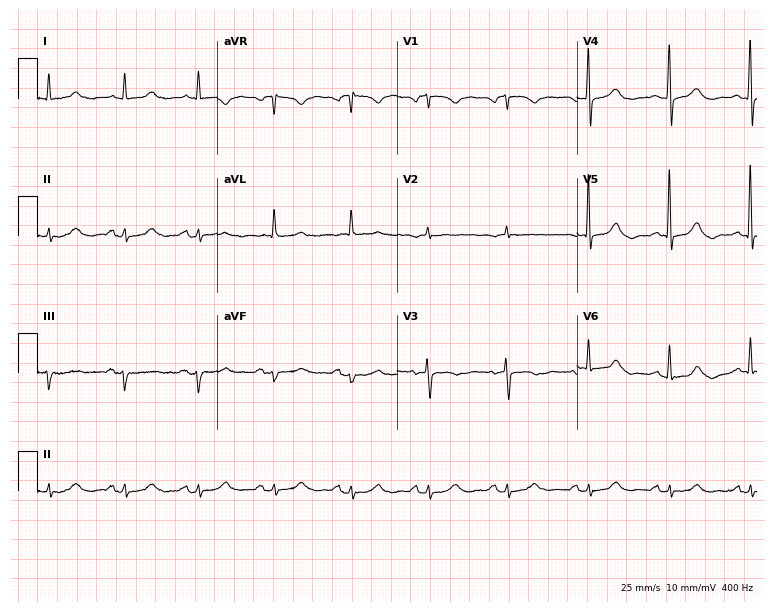
Standard 12-lead ECG recorded from a woman, 80 years old (7.3-second recording at 400 Hz). None of these six findings is recorded: first-degree AV block, right bundle branch block, left bundle branch block, sinus bradycardia, atrial fibrillation, sinus tachycardia.